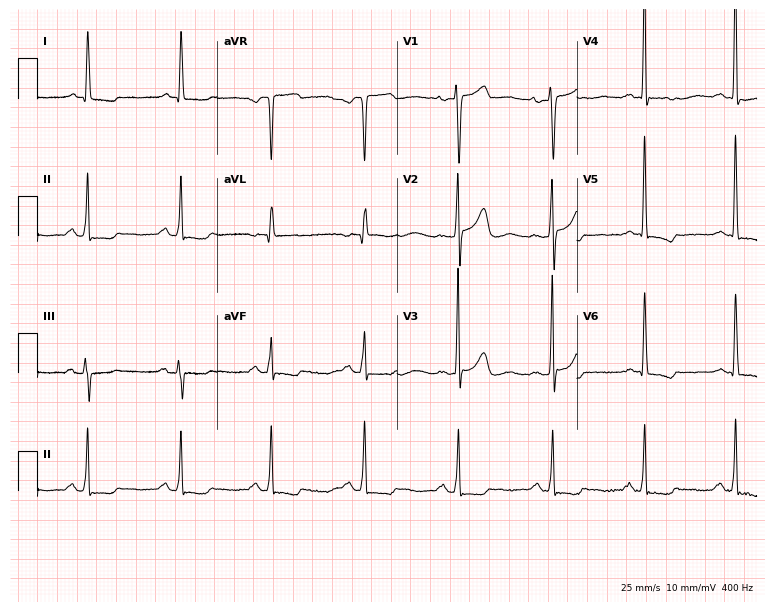
Electrocardiogram, a female patient, 51 years old. Of the six screened findings (first-degree AV block, right bundle branch block (RBBB), left bundle branch block (LBBB), sinus bradycardia, atrial fibrillation (AF), sinus tachycardia), none is recorded. Only these six findings were labelled.